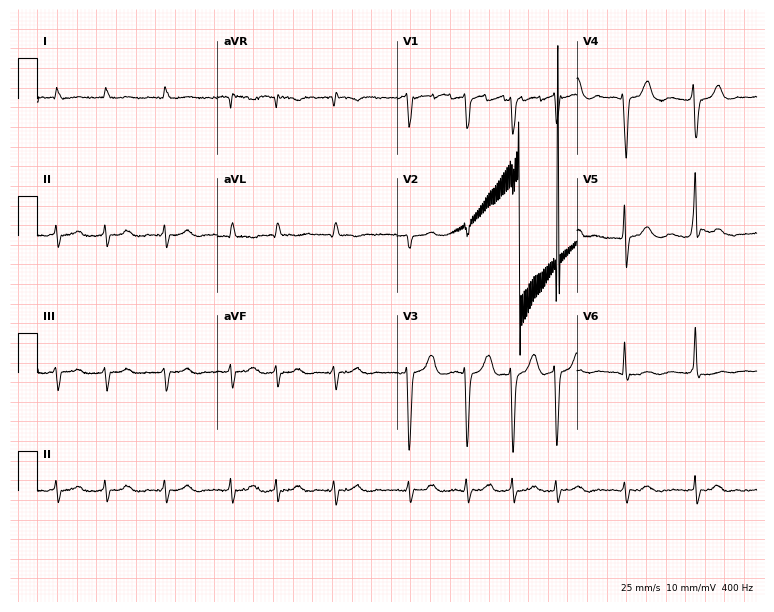
Standard 12-lead ECG recorded from a male, 83 years old. None of these six findings is recorded: first-degree AV block, right bundle branch block, left bundle branch block, sinus bradycardia, atrial fibrillation, sinus tachycardia.